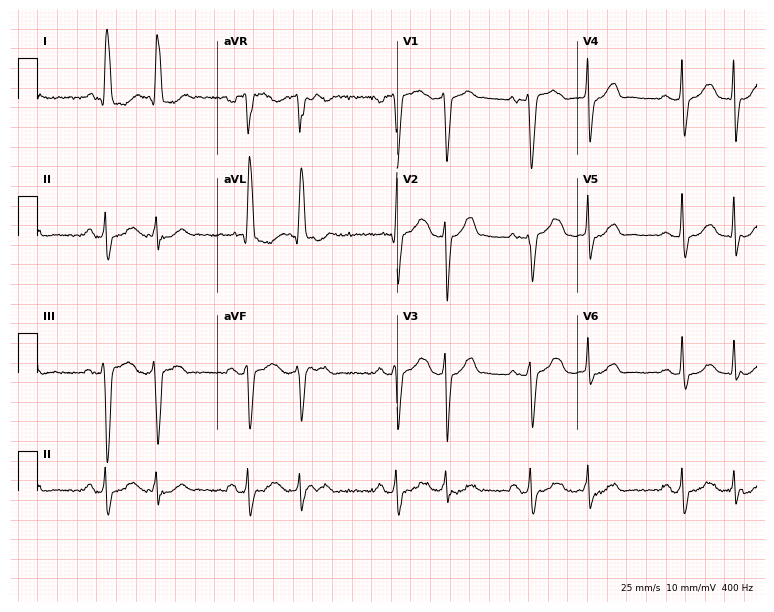
12-lead ECG from a 77-year-old female patient (7.3-second recording at 400 Hz). No first-degree AV block, right bundle branch block (RBBB), left bundle branch block (LBBB), sinus bradycardia, atrial fibrillation (AF) or sinus tachycardia recorded for this tracing. Other findings, if any, are not listed.